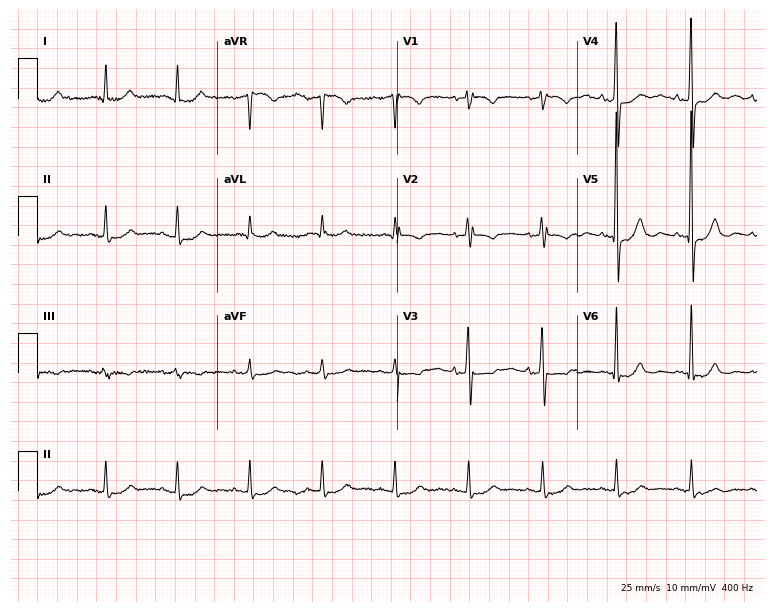
Standard 12-lead ECG recorded from a female patient, 38 years old. None of these six findings is recorded: first-degree AV block, right bundle branch block (RBBB), left bundle branch block (LBBB), sinus bradycardia, atrial fibrillation (AF), sinus tachycardia.